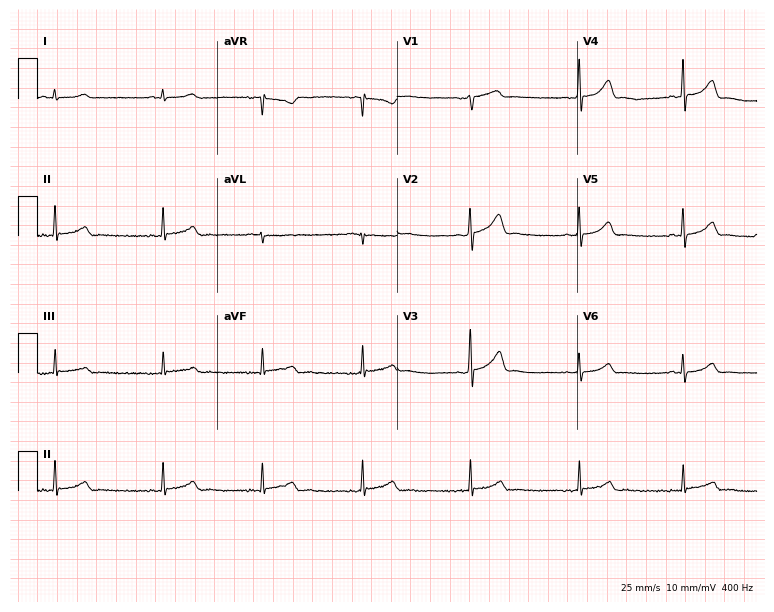
Resting 12-lead electrocardiogram (7.3-second recording at 400 Hz). Patient: a 27-year-old man. Read as a normal ECG.